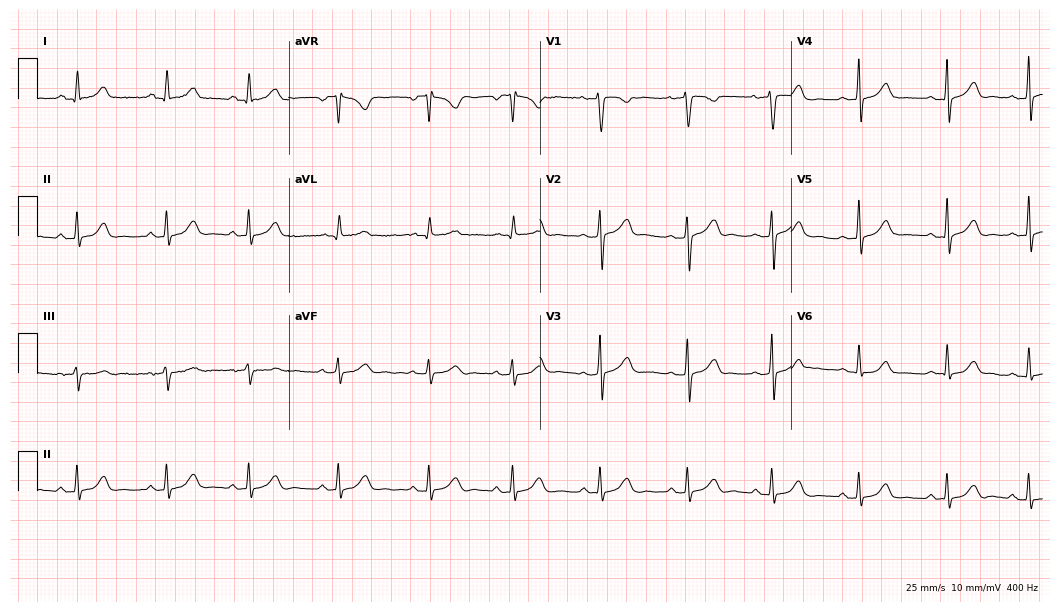
Electrocardiogram (10.2-second recording at 400 Hz), a woman, 28 years old. Overall reading on record: normal ECG.